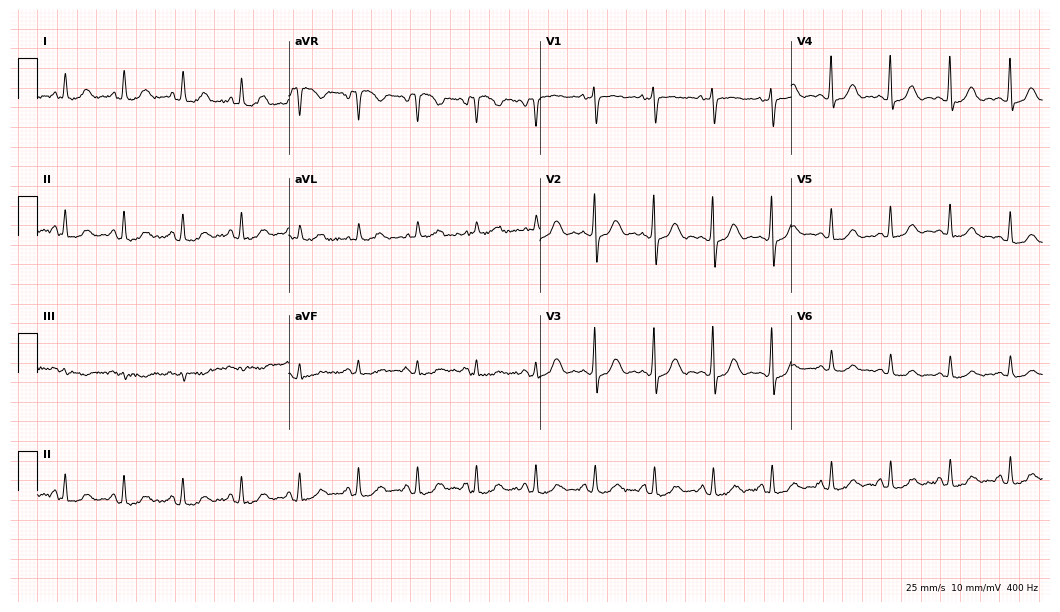
ECG — a female patient, 58 years old. Labelled as a normal ECG.